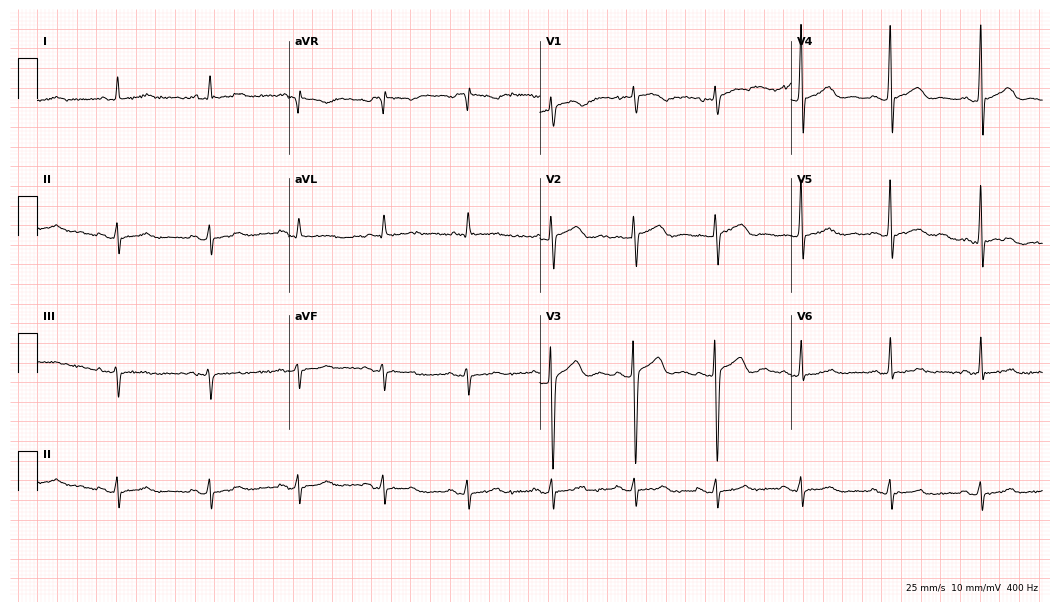
Electrocardiogram (10.2-second recording at 400 Hz), a 76-year-old male patient. Of the six screened findings (first-degree AV block, right bundle branch block, left bundle branch block, sinus bradycardia, atrial fibrillation, sinus tachycardia), none is recorded.